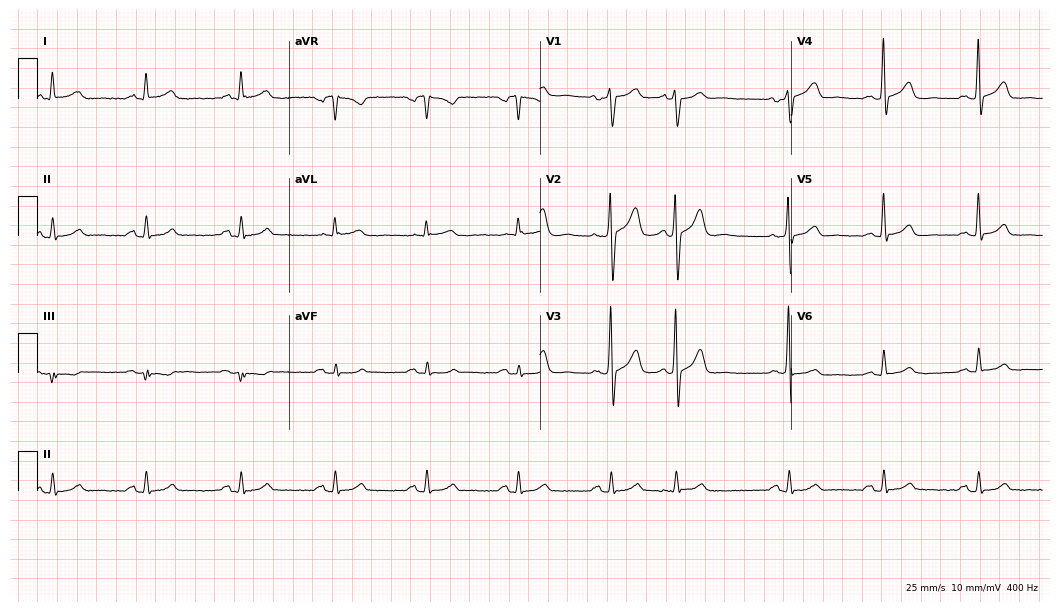
Resting 12-lead electrocardiogram. Patient: a woman, 58 years old. None of these six findings is recorded: first-degree AV block, right bundle branch block, left bundle branch block, sinus bradycardia, atrial fibrillation, sinus tachycardia.